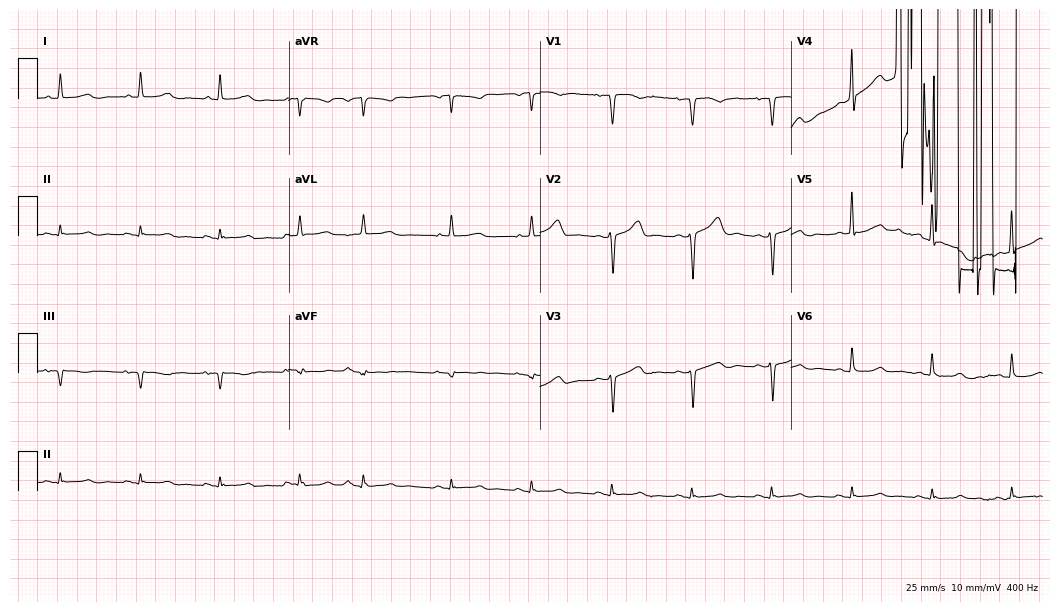
Standard 12-lead ECG recorded from a female, 84 years old (10.2-second recording at 400 Hz). None of these six findings is recorded: first-degree AV block, right bundle branch block, left bundle branch block, sinus bradycardia, atrial fibrillation, sinus tachycardia.